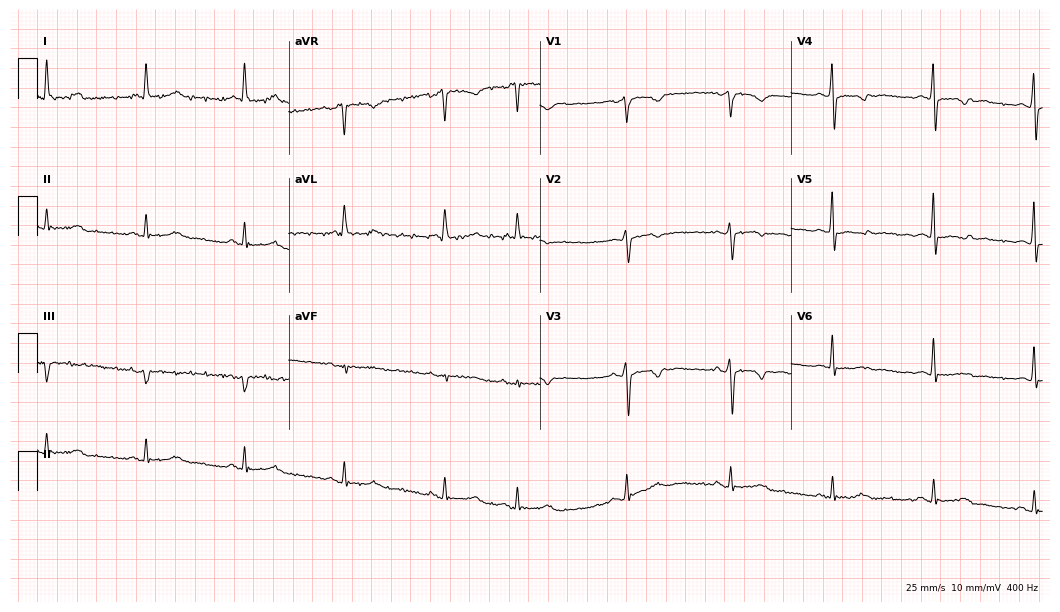
ECG (10.2-second recording at 400 Hz) — a 76-year-old female patient. Screened for six findings — first-degree AV block, right bundle branch block, left bundle branch block, sinus bradycardia, atrial fibrillation, sinus tachycardia — none is recorded. Other findings, if any, are not listed.